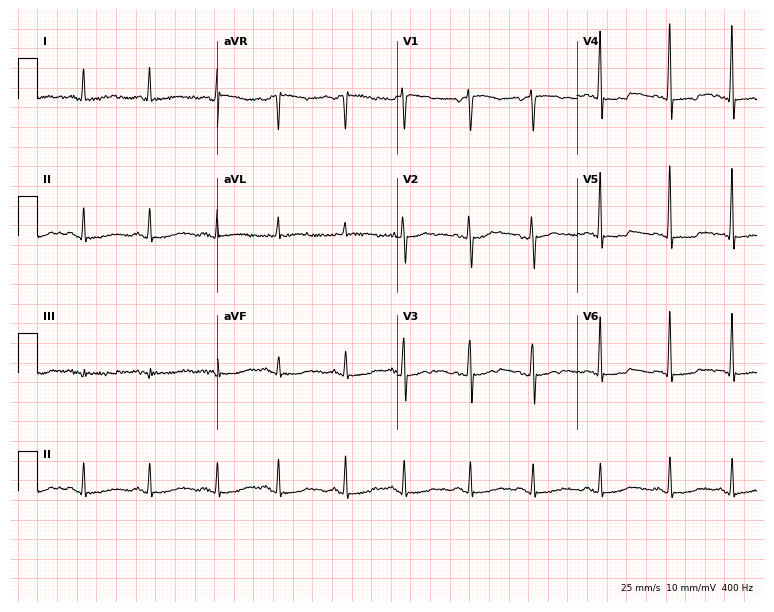
12-lead ECG (7.3-second recording at 400 Hz) from a man, 71 years old. Screened for six findings — first-degree AV block, right bundle branch block (RBBB), left bundle branch block (LBBB), sinus bradycardia, atrial fibrillation (AF), sinus tachycardia — none is recorded.